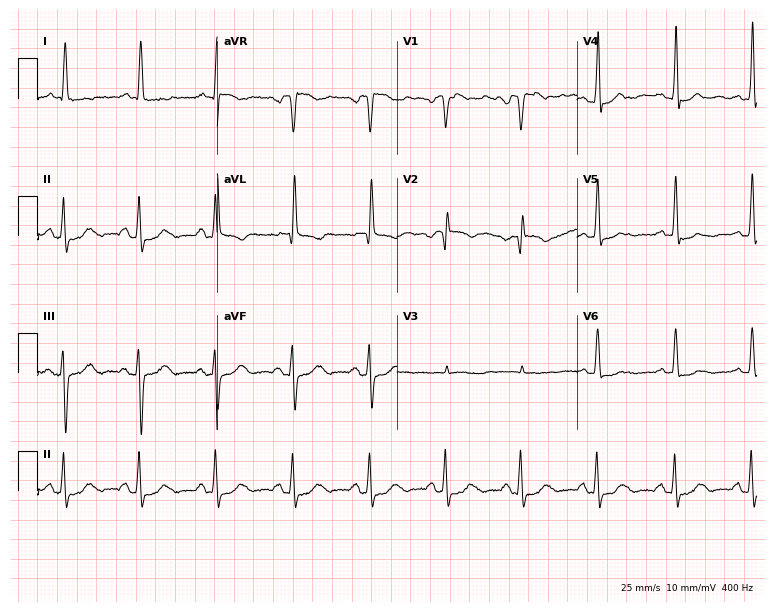
ECG (7.3-second recording at 400 Hz) — a 72-year-old male. Labelled as a normal ECG.